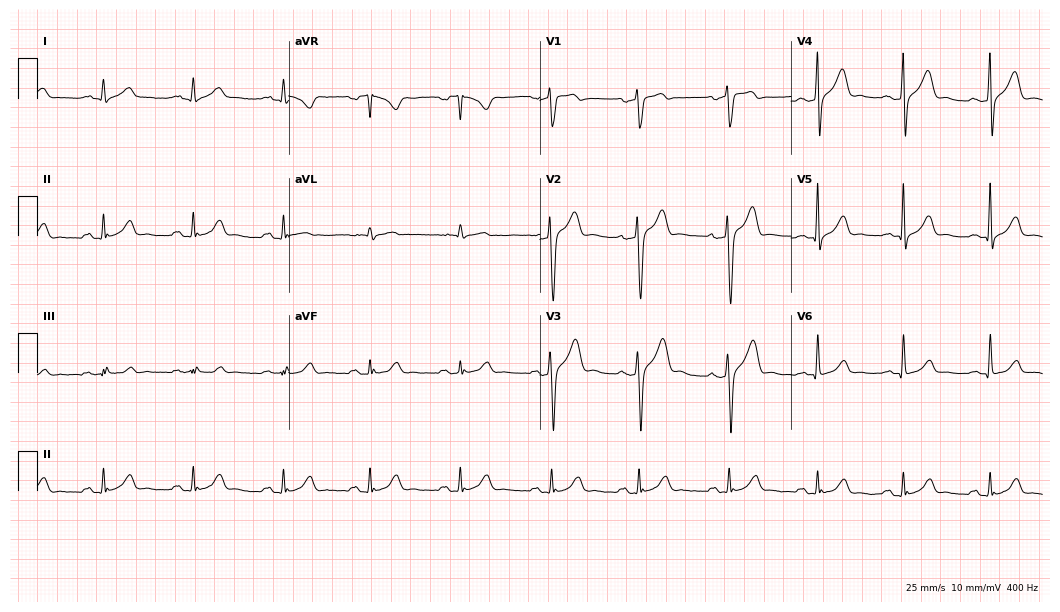
12-lead ECG from a 21-year-old woman. Labelled as a normal ECG.